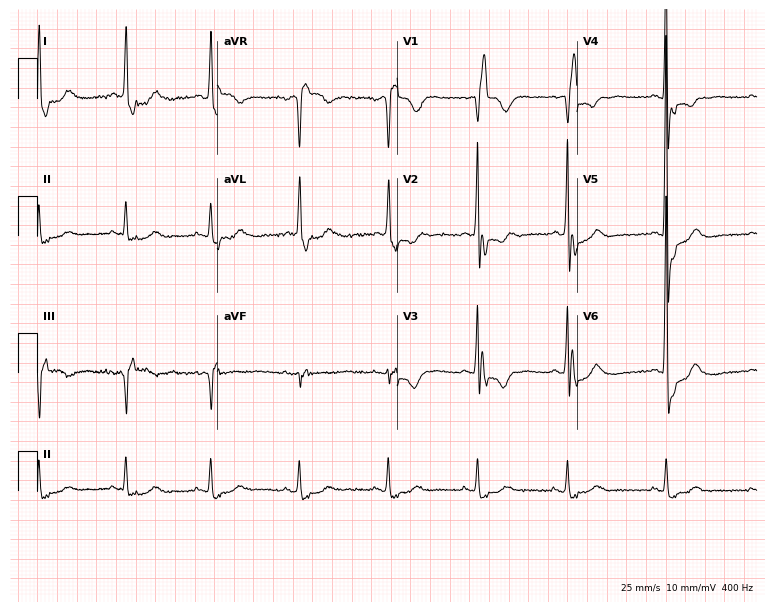
12-lead ECG (7.3-second recording at 400 Hz) from an 83-year-old female patient. Findings include right bundle branch block.